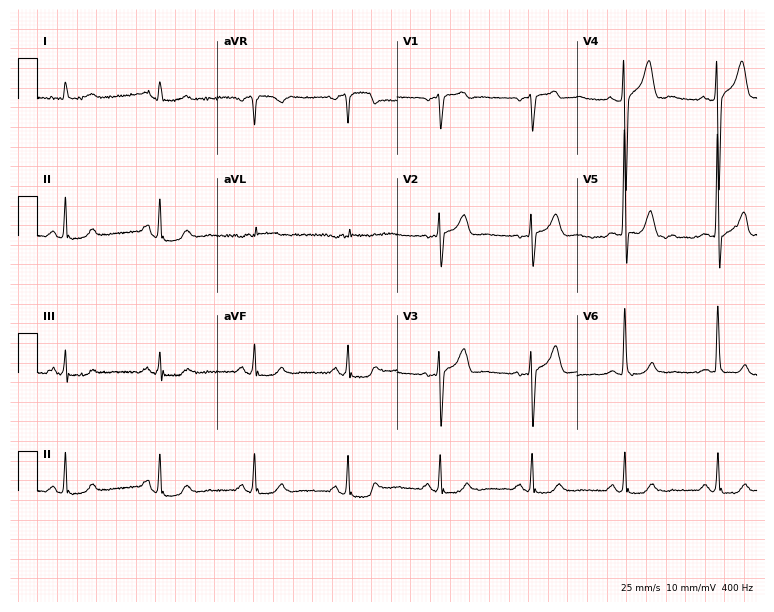
Standard 12-lead ECG recorded from a 67-year-old male patient (7.3-second recording at 400 Hz). None of these six findings is recorded: first-degree AV block, right bundle branch block, left bundle branch block, sinus bradycardia, atrial fibrillation, sinus tachycardia.